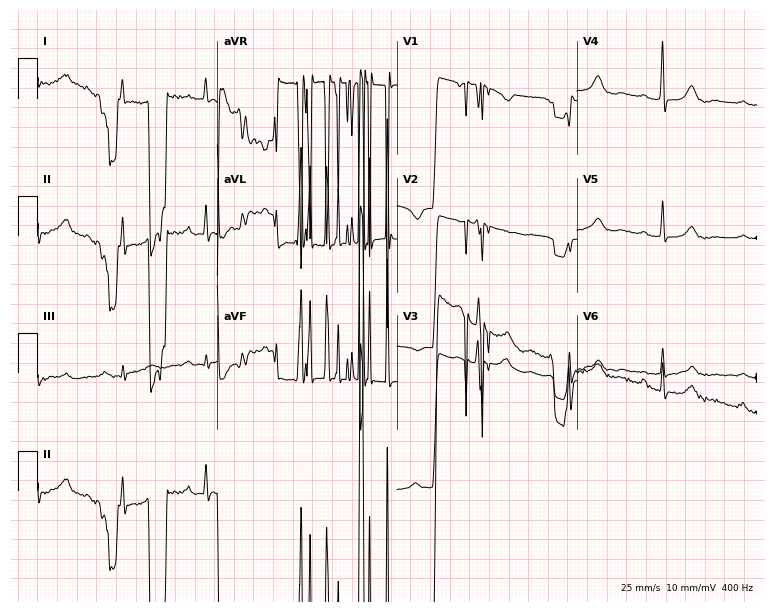
12-lead ECG (7.3-second recording at 400 Hz) from a 67-year-old woman. Screened for six findings — first-degree AV block, right bundle branch block, left bundle branch block, sinus bradycardia, atrial fibrillation, sinus tachycardia — none is recorded.